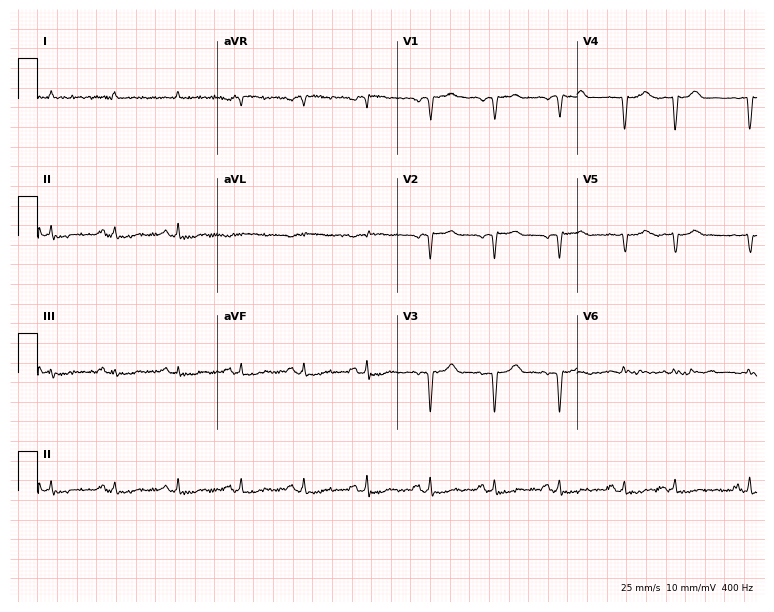
Resting 12-lead electrocardiogram. Patient: an 83-year-old man. None of these six findings is recorded: first-degree AV block, right bundle branch block, left bundle branch block, sinus bradycardia, atrial fibrillation, sinus tachycardia. Findings outside these six are not listed.